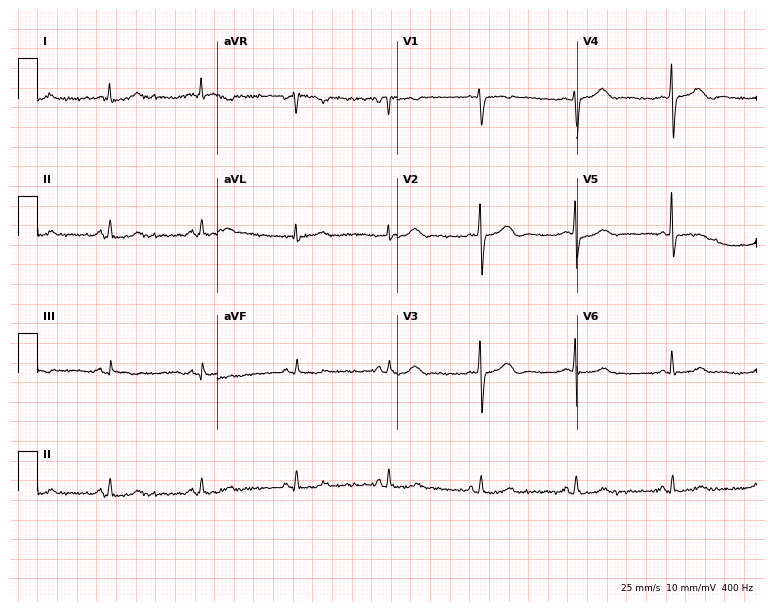
12-lead ECG (7.3-second recording at 400 Hz) from a woman, 49 years old. Screened for six findings — first-degree AV block, right bundle branch block, left bundle branch block, sinus bradycardia, atrial fibrillation, sinus tachycardia — none is recorded.